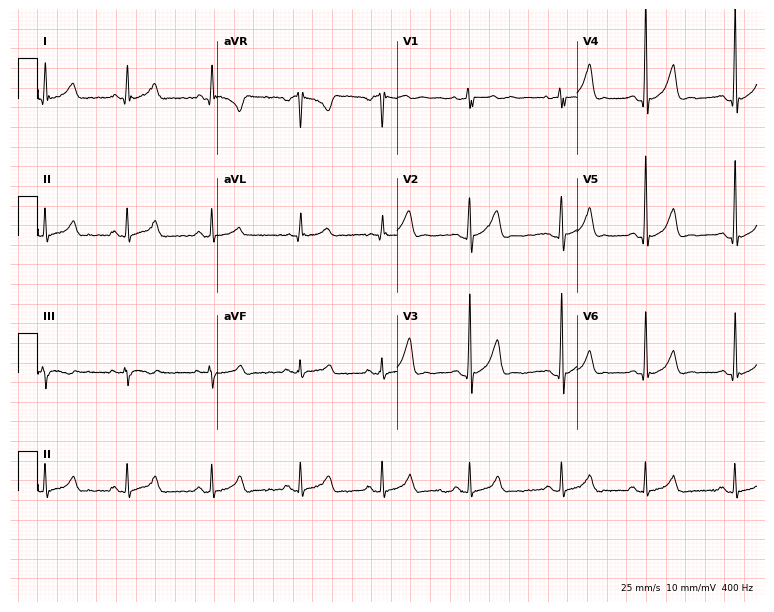
ECG (7.3-second recording at 400 Hz) — a 26-year-old male patient. Labelled as a normal ECG.